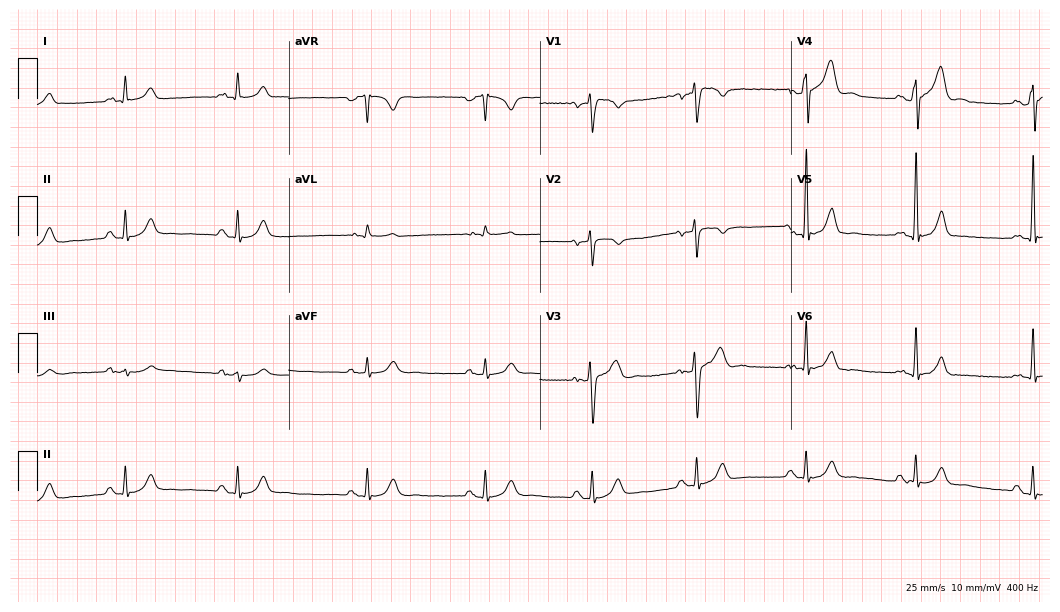
12-lead ECG (10.2-second recording at 400 Hz) from a 41-year-old man. Screened for six findings — first-degree AV block, right bundle branch block, left bundle branch block, sinus bradycardia, atrial fibrillation, sinus tachycardia — none is recorded.